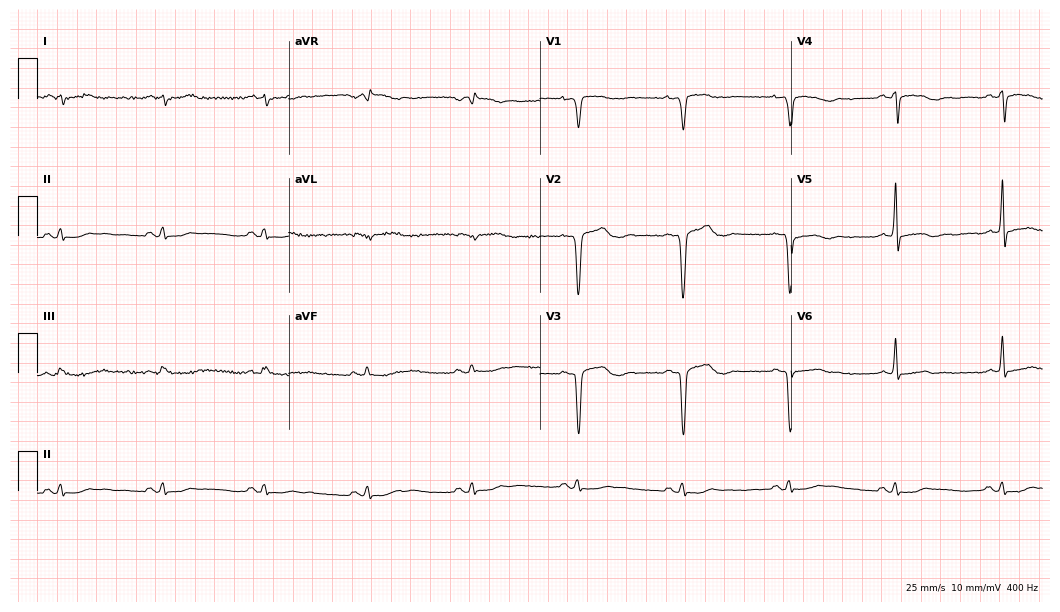
Standard 12-lead ECG recorded from a 36-year-old male (10.2-second recording at 400 Hz). None of these six findings is recorded: first-degree AV block, right bundle branch block (RBBB), left bundle branch block (LBBB), sinus bradycardia, atrial fibrillation (AF), sinus tachycardia. Other findings, if any, are not listed.